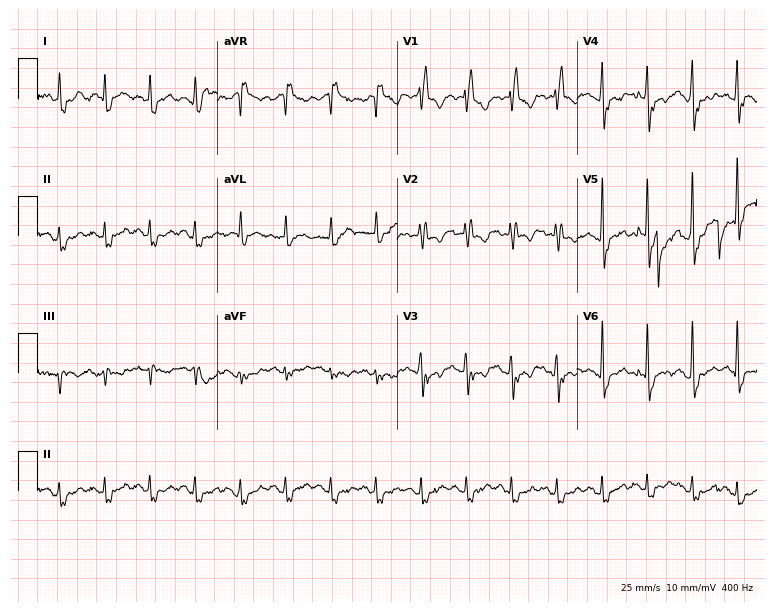
Electrocardiogram, a 76-year-old male patient. Of the six screened findings (first-degree AV block, right bundle branch block, left bundle branch block, sinus bradycardia, atrial fibrillation, sinus tachycardia), none is recorded. Findings outside these six are not listed.